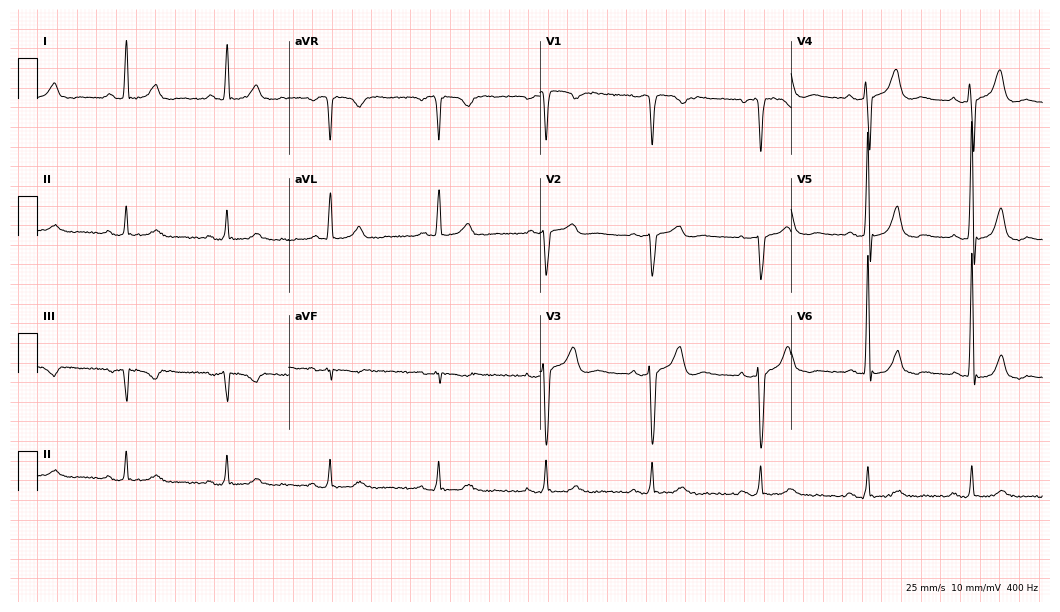
12-lead ECG from a male patient, 55 years old. Recorded interpretation: within normal limits.